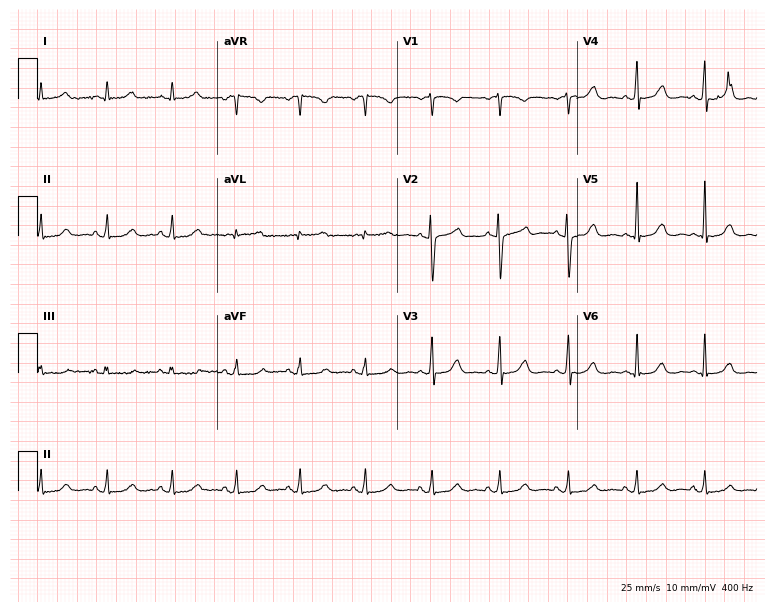
Resting 12-lead electrocardiogram (7.3-second recording at 400 Hz). Patient: a female, 50 years old. Read as a normal ECG.